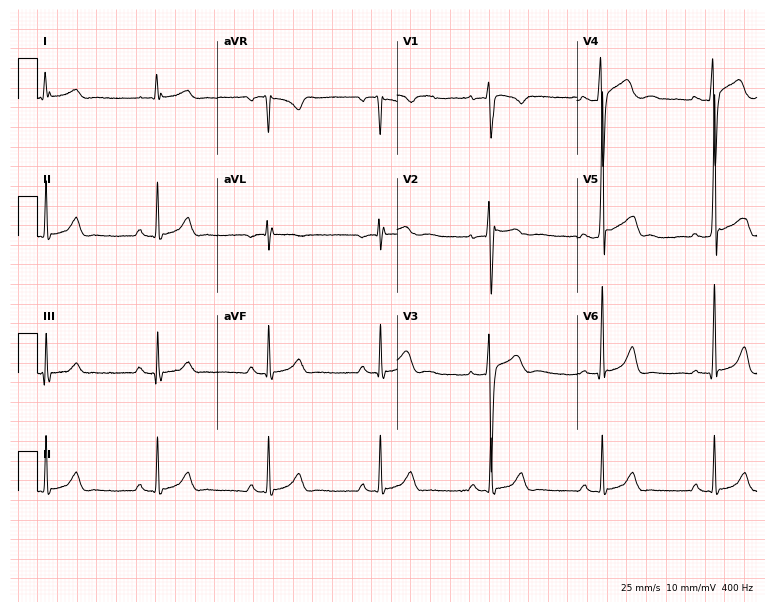
Resting 12-lead electrocardiogram (7.3-second recording at 400 Hz). Patient: a male, 19 years old. None of these six findings is recorded: first-degree AV block, right bundle branch block, left bundle branch block, sinus bradycardia, atrial fibrillation, sinus tachycardia.